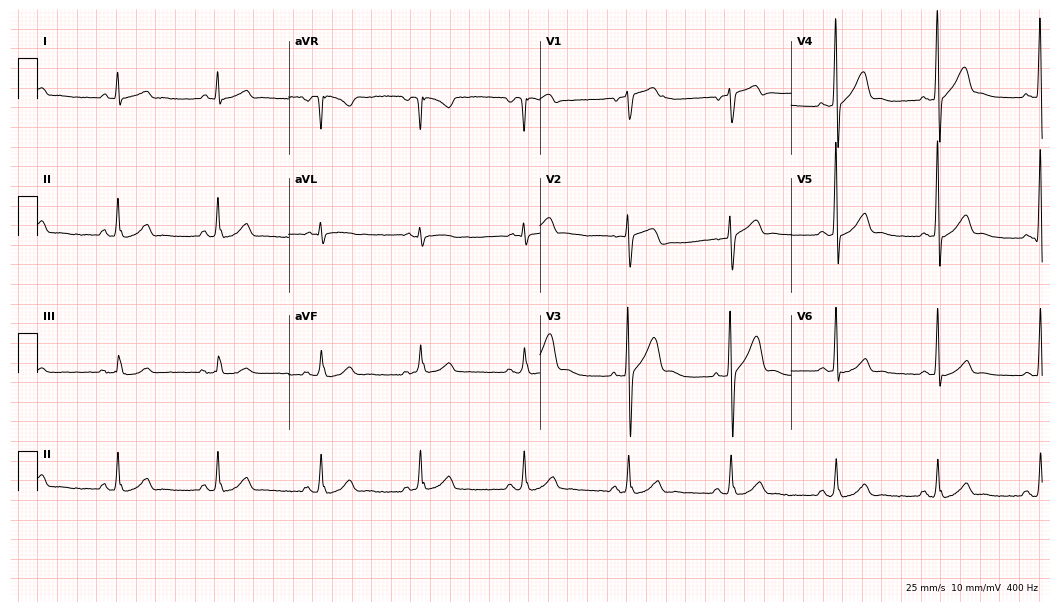
12-lead ECG from a 53-year-old man. Recorded interpretation: within normal limits.